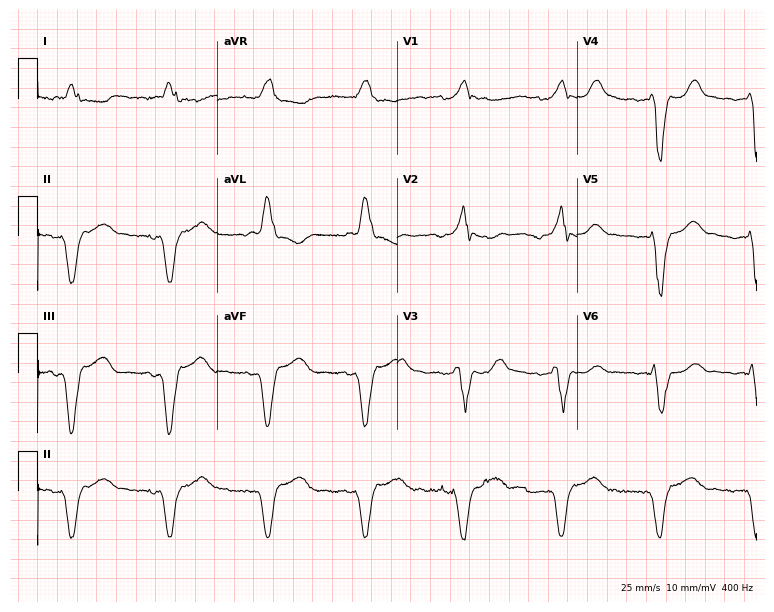
12-lead ECG (7.3-second recording at 400 Hz) from a 69-year-old male. Screened for six findings — first-degree AV block, right bundle branch block, left bundle branch block, sinus bradycardia, atrial fibrillation, sinus tachycardia — none is recorded.